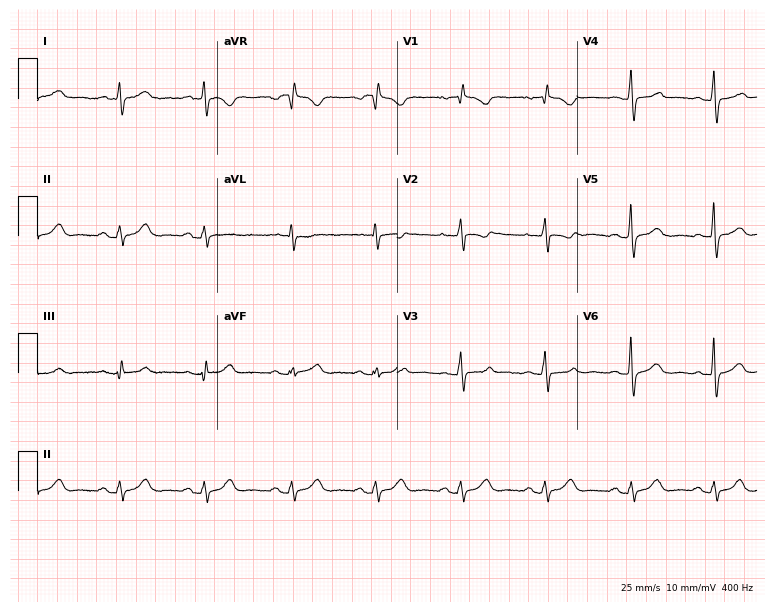
Standard 12-lead ECG recorded from a 38-year-old female (7.3-second recording at 400 Hz). None of these six findings is recorded: first-degree AV block, right bundle branch block (RBBB), left bundle branch block (LBBB), sinus bradycardia, atrial fibrillation (AF), sinus tachycardia. Findings outside these six are not listed.